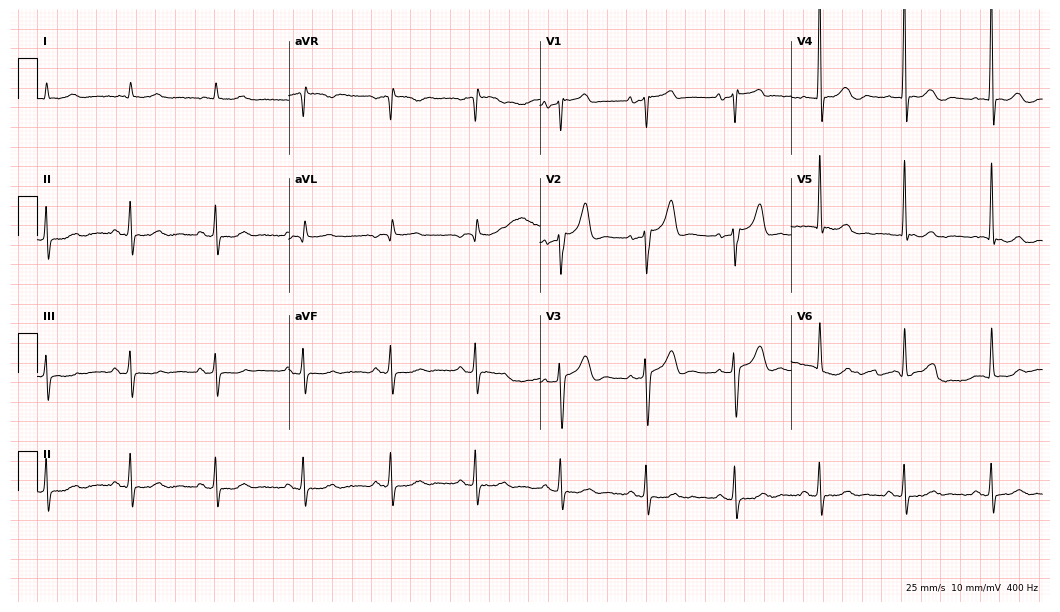
12-lead ECG from an 82-year-old male patient (10.2-second recording at 400 Hz). Recorded interpretation: within normal limits.